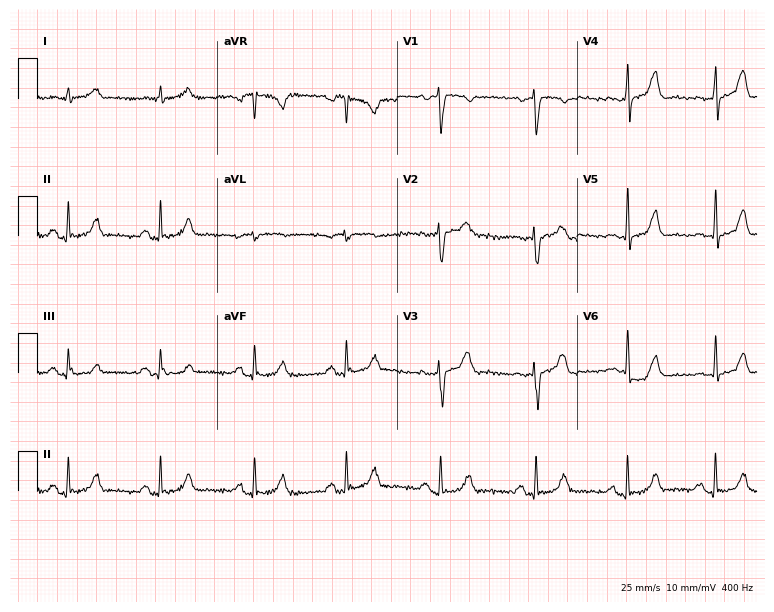
ECG (7.3-second recording at 400 Hz) — a 47-year-old female patient. Labelled as a normal ECG.